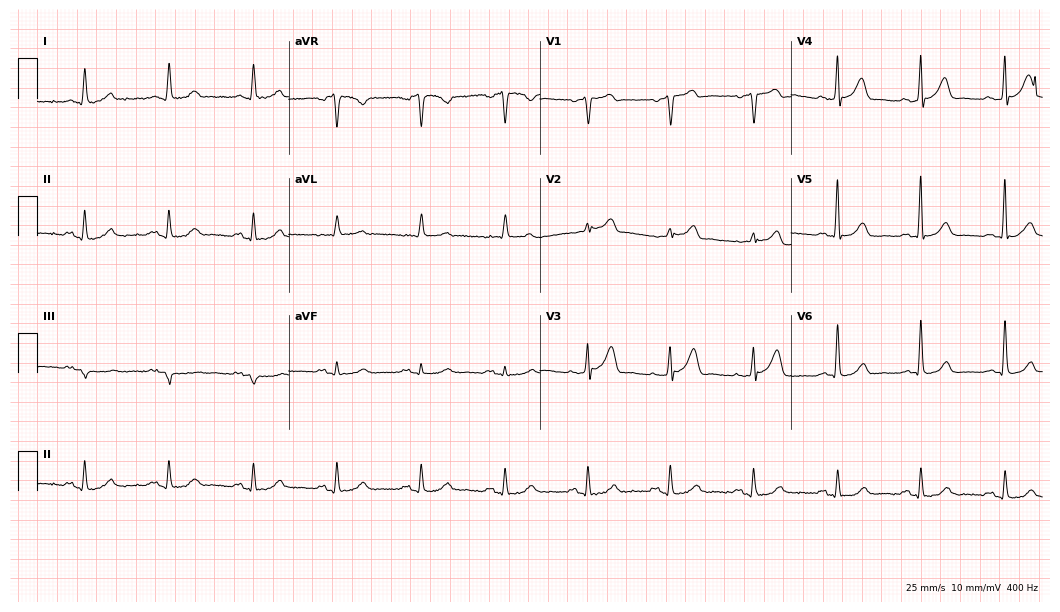
12-lead ECG (10.2-second recording at 400 Hz) from a woman, 68 years old. Screened for six findings — first-degree AV block, right bundle branch block (RBBB), left bundle branch block (LBBB), sinus bradycardia, atrial fibrillation (AF), sinus tachycardia — none is recorded.